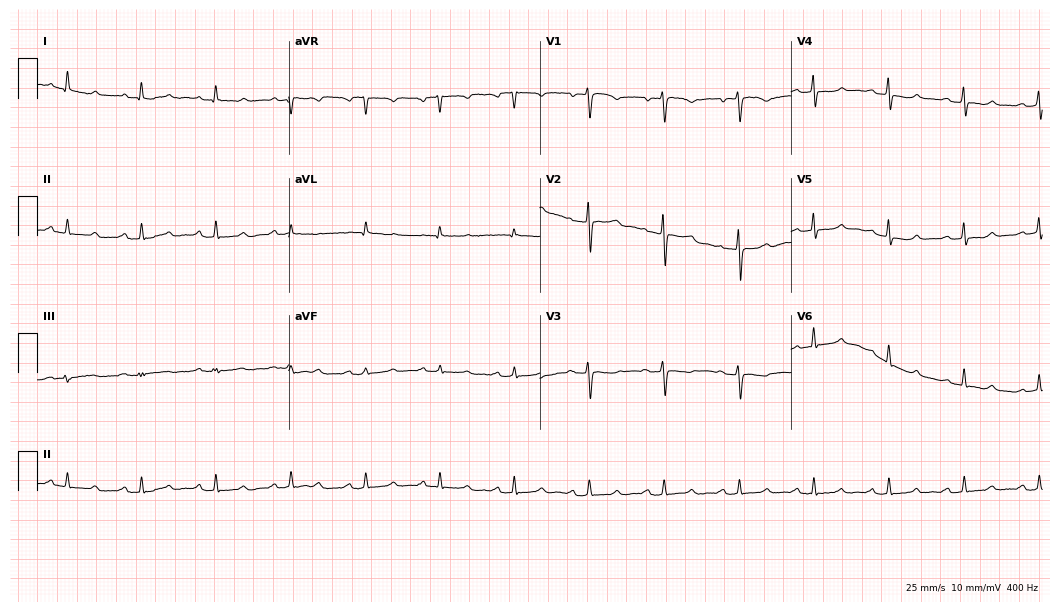
Resting 12-lead electrocardiogram (10.2-second recording at 400 Hz). Patient: a 56-year-old female. Read as a normal ECG.